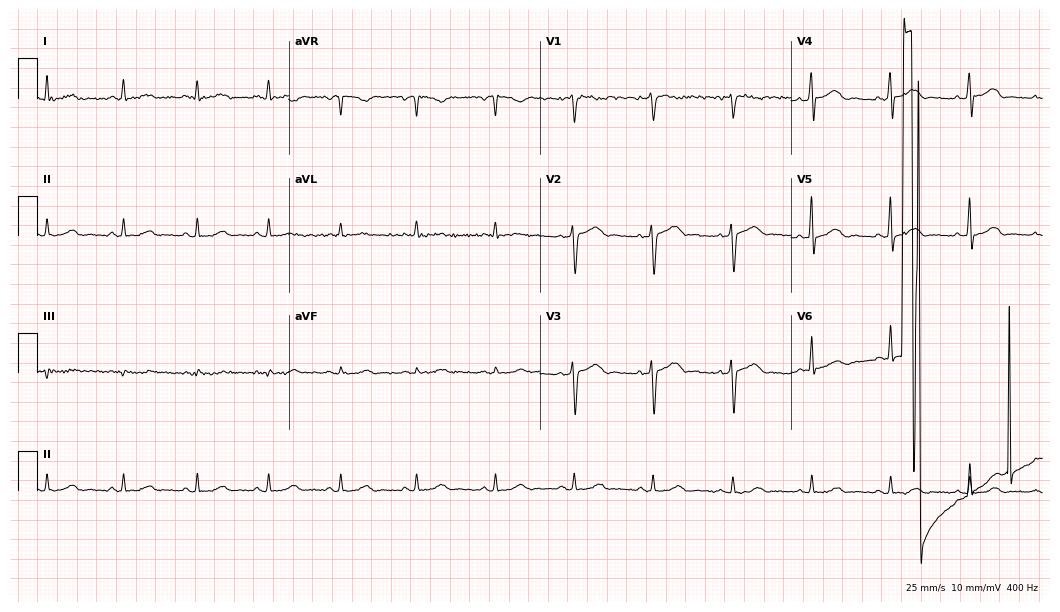
ECG — a man, 54 years old. Labelled as a normal ECG.